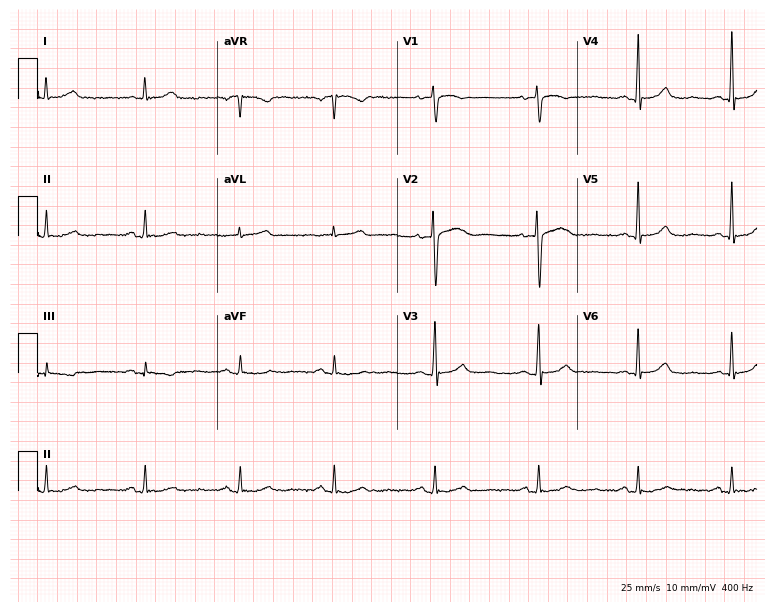
12-lead ECG from a female patient, 47 years old. No first-degree AV block, right bundle branch block (RBBB), left bundle branch block (LBBB), sinus bradycardia, atrial fibrillation (AF) or sinus tachycardia recorded for this tracing. Only these six findings were labelled.